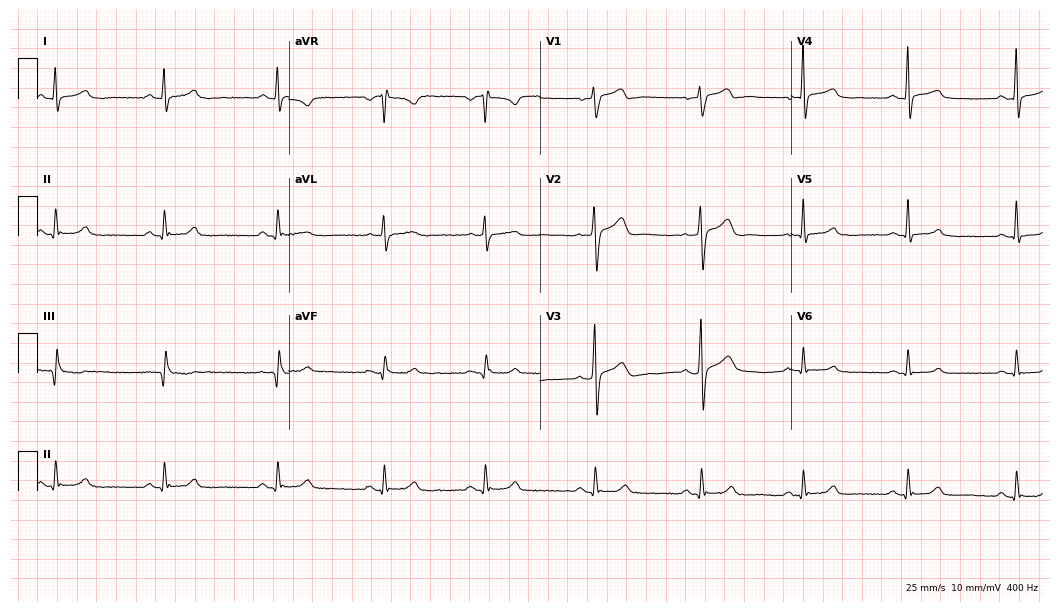
Electrocardiogram, a 31-year-old male patient. Overall reading on record: normal ECG.